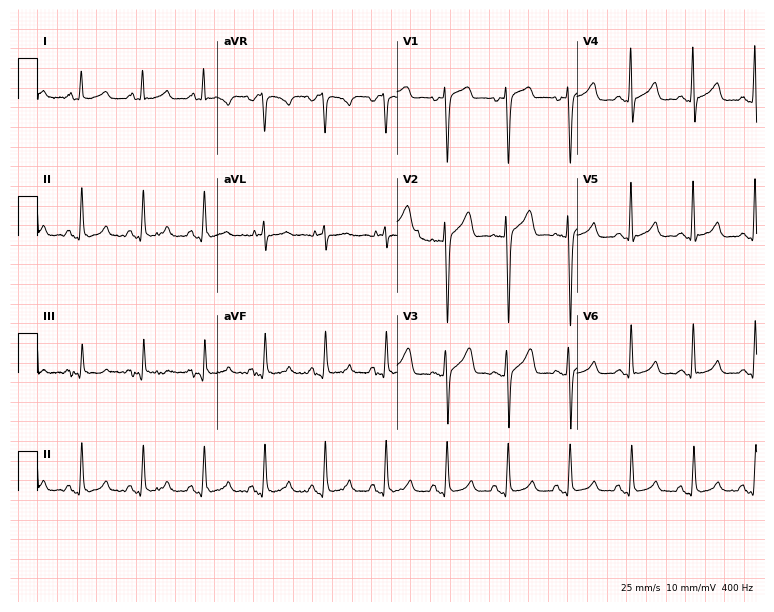
12-lead ECG from a man, 48 years old. Labelled as a normal ECG.